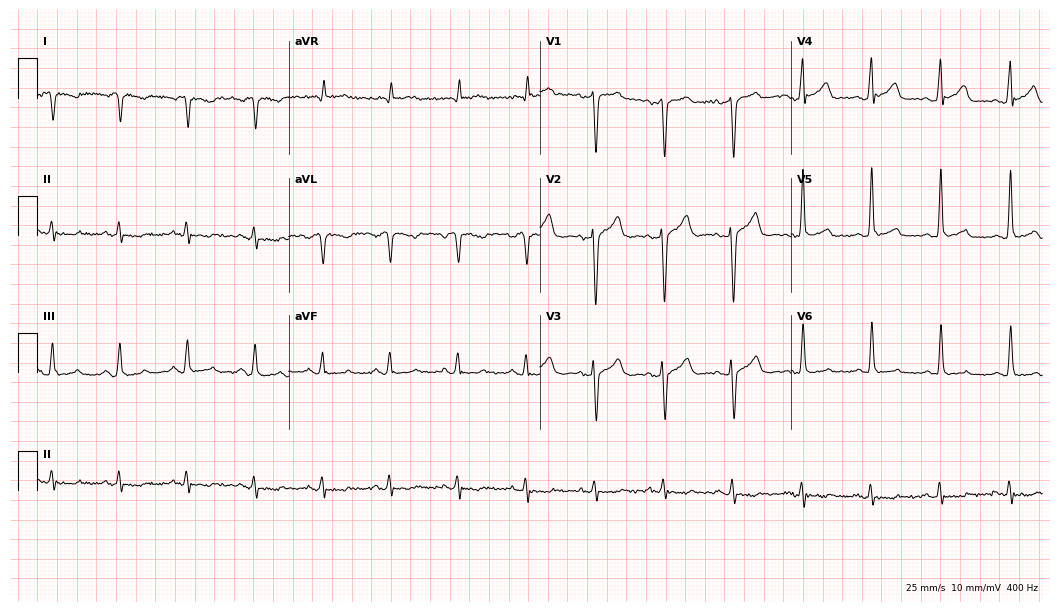
Standard 12-lead ECG recorded from a man, 58 years old (10.2-second recording at 400 Hz). None of these six findings is recorded: first-degree AV block, right bundle branch block, left bundle branch block, sinus bradycardia, atrial fibrillation, sinus tachycardia.